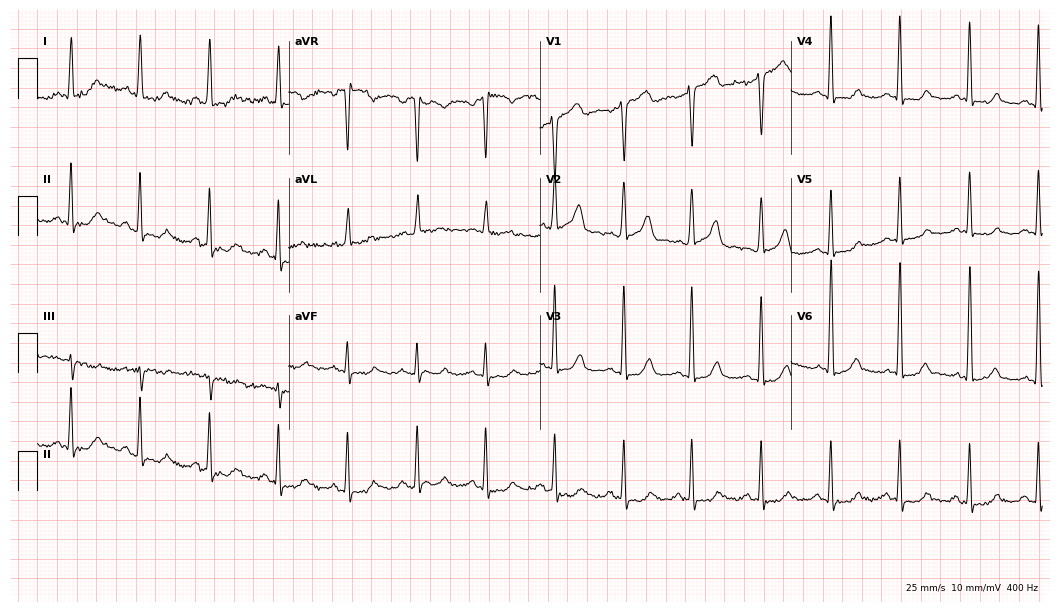
Standard 12-lead ECG recorded from a 47-year-old male (10.2-second recording at 400 Hz). Read as a normal ECG.